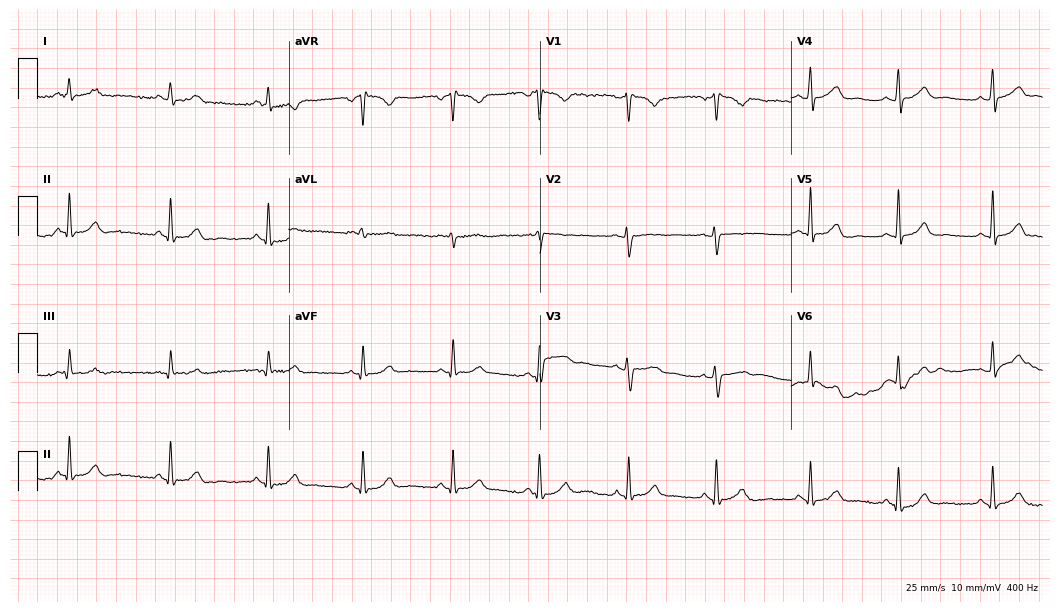
12-lead ECG from a female patient, 42 years old. Labelled as a normal ECG.